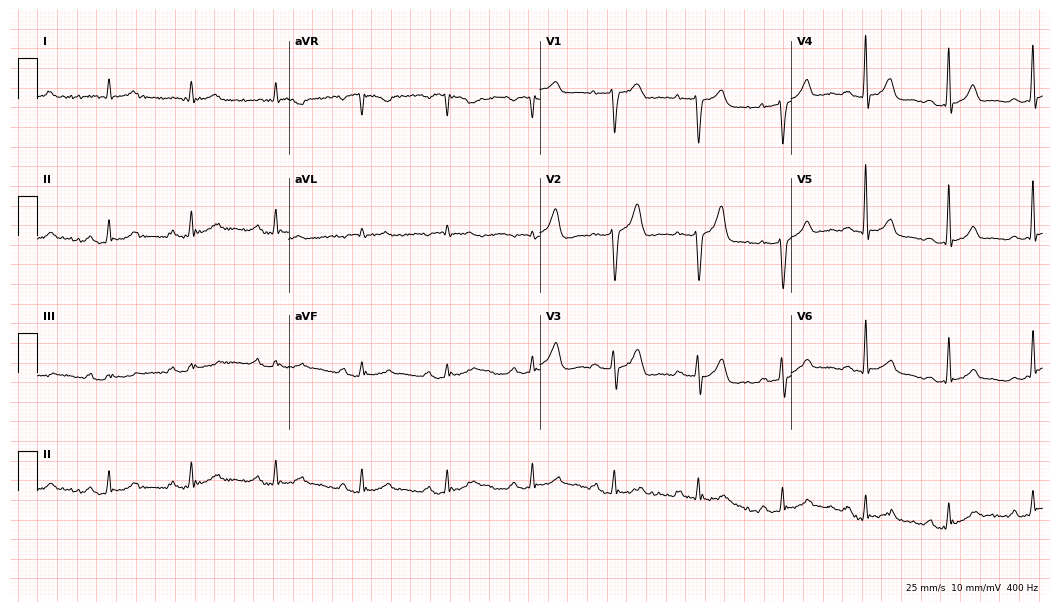
12-lead ECG from a 73-year-old man (10.2-second recording at 400 Hz). Recorded interpretation: within normal limits.